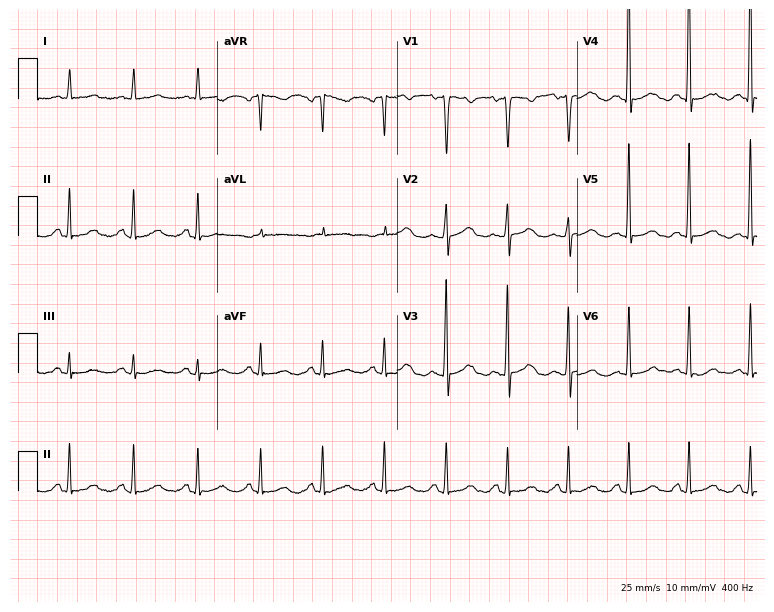
ECG (7.3-second recording at 400 Hz) — a female patient, 49 years old. Screened for six findings — first-degree AV block, right bundle branch block, left bundle branch block, sinus bradycardia, atrial fibrillation, sinus tachycardia — none is recorded.